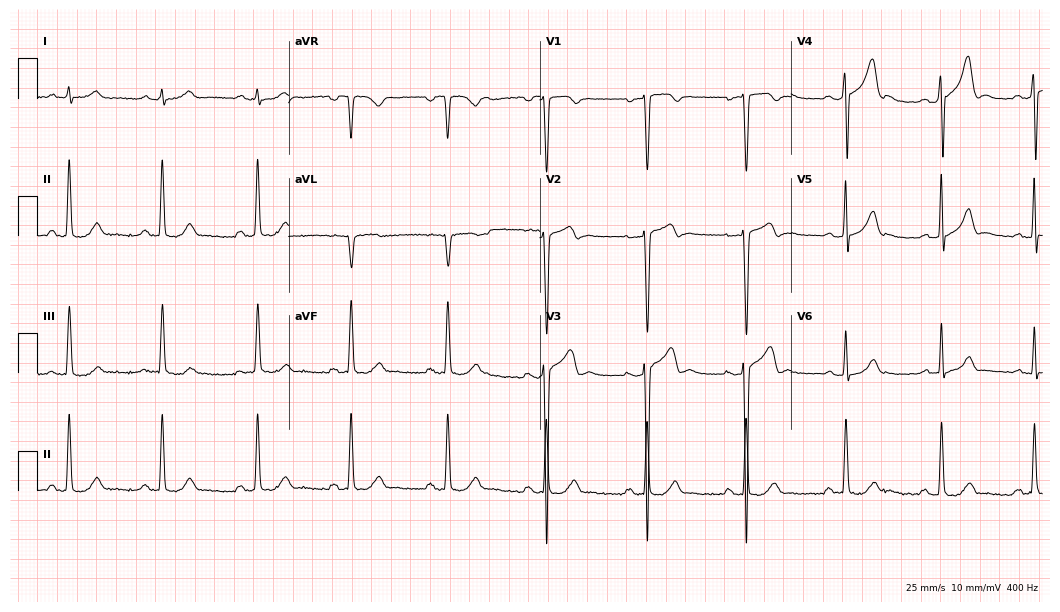
12-lead ECG from a 32-year-old female patient. Screened for six findings — first-degree AV block, right bundle branch block, left bundle branch block, sinus bradycardia, atrial fibrillation, sinus tachycardia — none is recorded. Only these six findings were labelled.